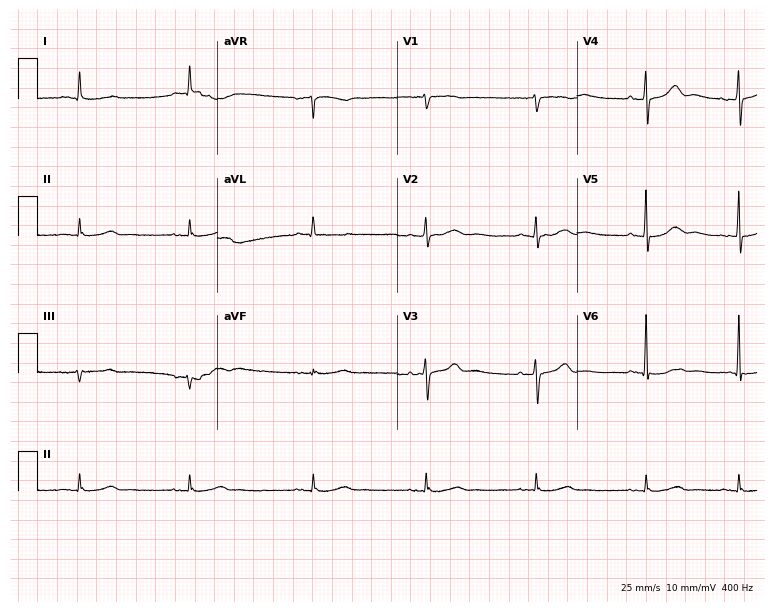
Standard 12-lead ECG recorded from a 79-year-old male patient. None of these six findings is recorded: first-degree AV block, right bundle branch block (RBBB), left bundle branch block (LBBB), sinus bradycardia, atrial fibrillation (AF), sinus tachycardia.